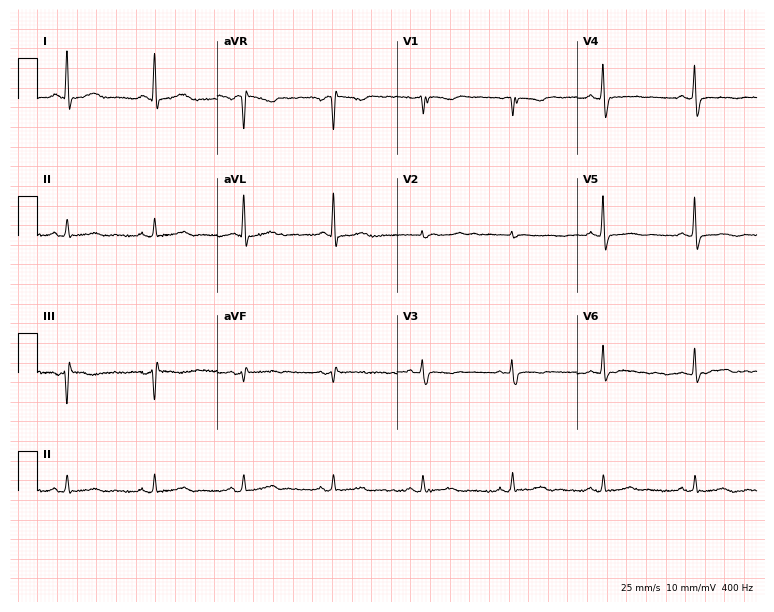
12-lead ECG (7.3-second recording at 400 Hz) from a 79-year-old female. Screened for six findings — first-degree AV block, right bundle branch block, left bundle branch block, sinus bradycardia, atrial fibrillation, sinus tachycardia — none is recorded. Findings outside these six are not listed.